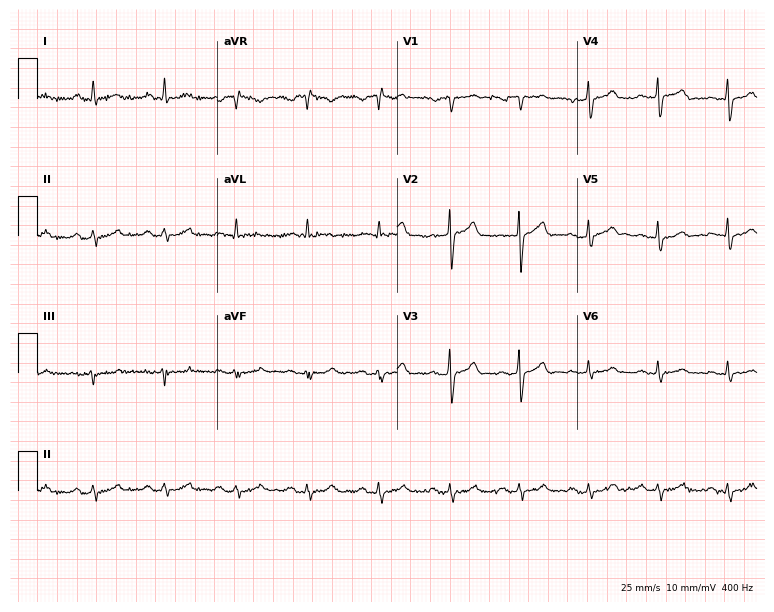
Electrocardiogram, a 61-year-old male. Of the six screened findings (first-degree AV block, right bundle branch block (RBBB), left bundle branch block (LBBB), sinus bradycardia, atrial fibrillation (AF), sinus tachycardia), none is recorded. Only these six findings were labelled.